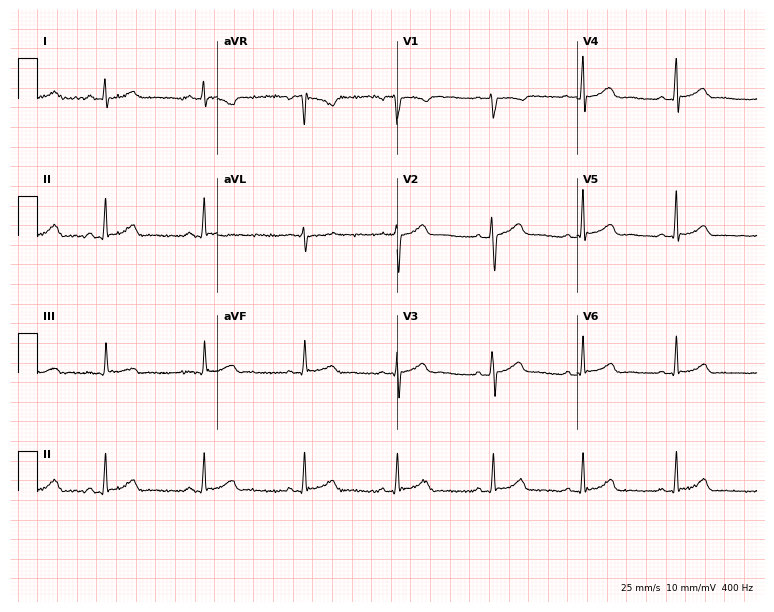
ECG (7.3-second recording at 400 Hz) — an 18-year-old female patient. Screened for six findings — first-degree AV block, right bundle branch block (RBBB), left bundle branch block (LBBB), sinus bradycardia, atrial fibrillation (AF), sinus tachycardia — none is recorded.